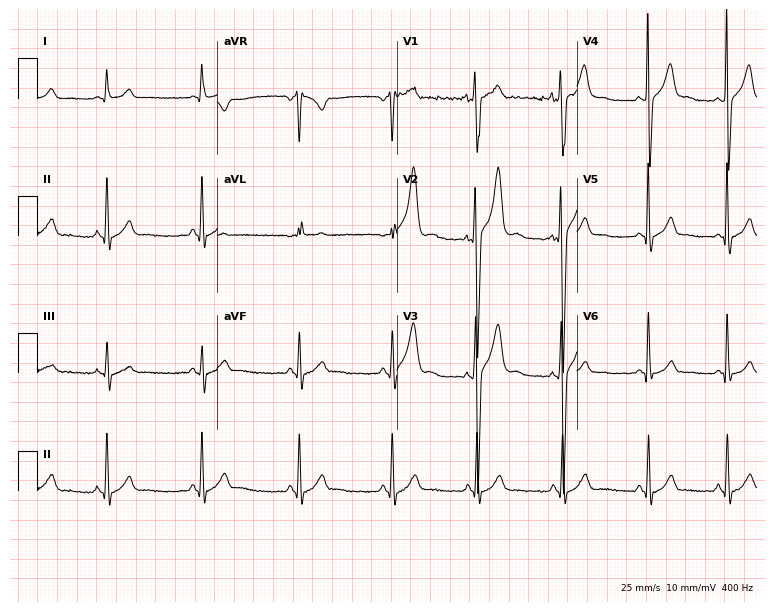
12-lead ECG (7.3-second recording at 400 Hz) from a 19-year-old man. Screened for six findings — first-degree AV block, right bundle branch block, left bundle branch block, sinus bradycardia, atrial fibrillation, sinus tachycardia — none is recorded. Findings outside these six are not listed.